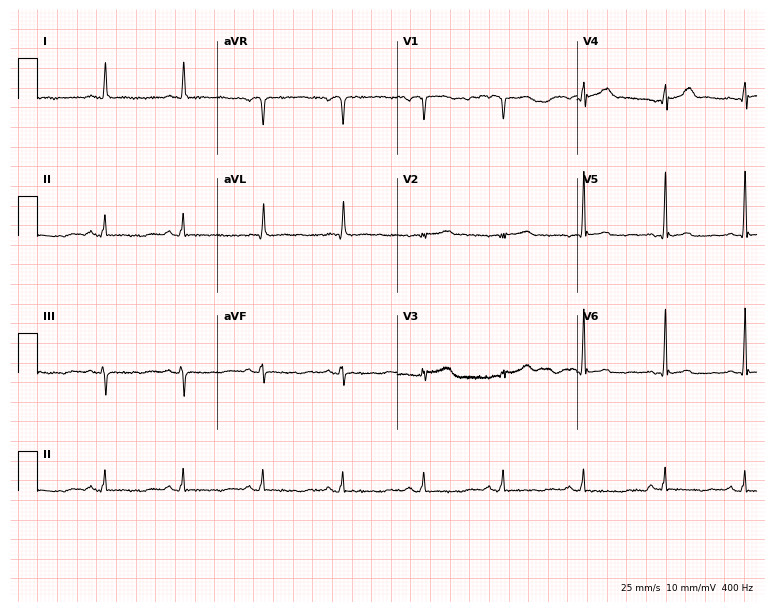
Standard 12-lead ECG recorded from a man, 56 years old (7.3-second recording at 400 Hz). None of these six findings is recorded: first-degree AV block, right bundle branch block, left bundle branch block, sinus bradycardia, atrial fibrillation, sinus tachycardia.